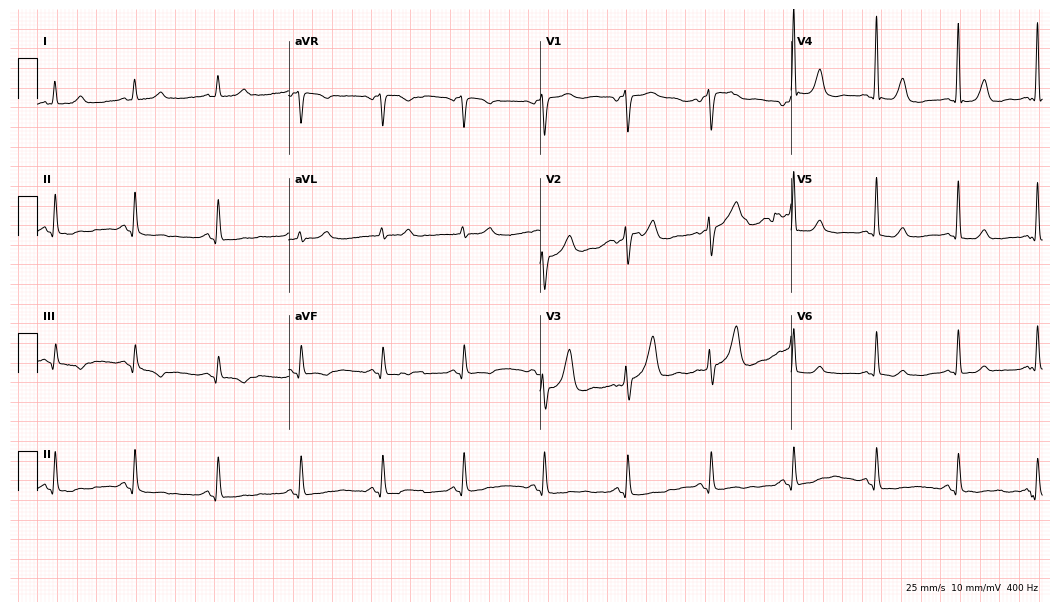
ECG — a 57-year-old man. Screened for six findings — first-degree AV block, right bundle branch block (RBBB), left bundle branch block (LBBB), sinus bradycardia, atrial fibrillation (AF), sinus tachycardia — none is recorded.